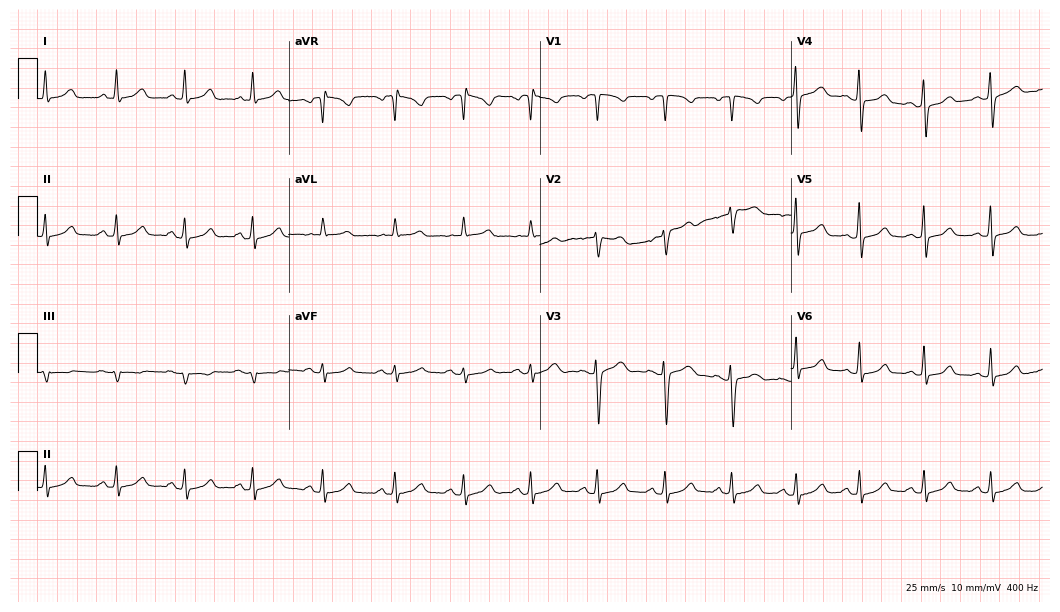
ECG — a female patient, 31 years old. Labelled as a normal ECG.